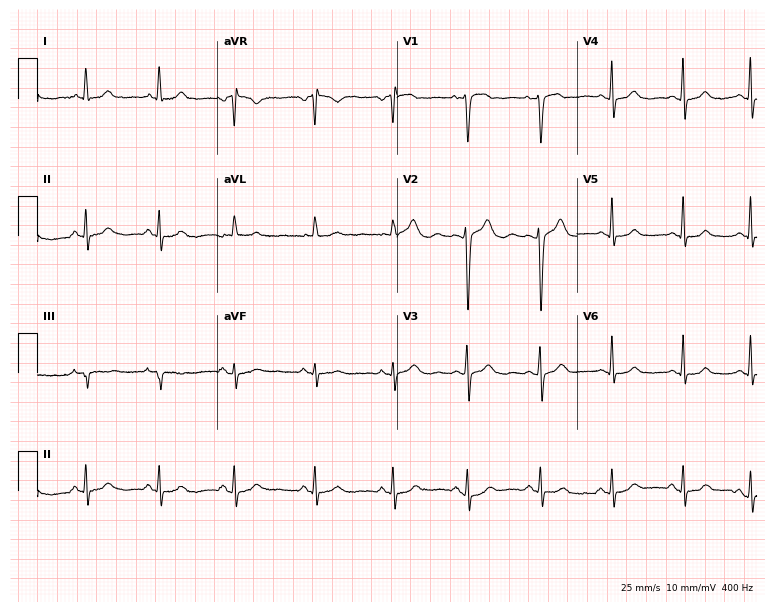
12-lead ECG from a 38-year-old female. Recorded interpretation: within normal limits.